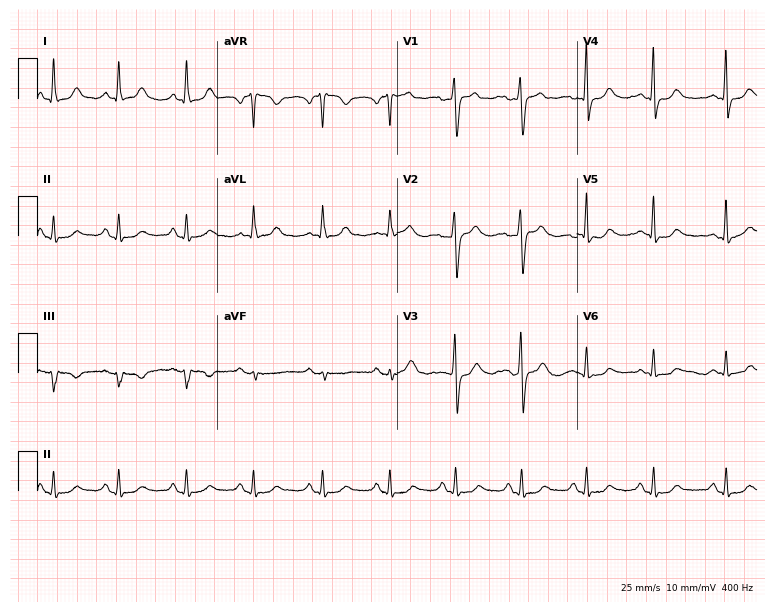
Standard 12-lead ECG recorded from a 41-year-old female (7.3-second recording at 400 Hz). Read as a normal ECG.